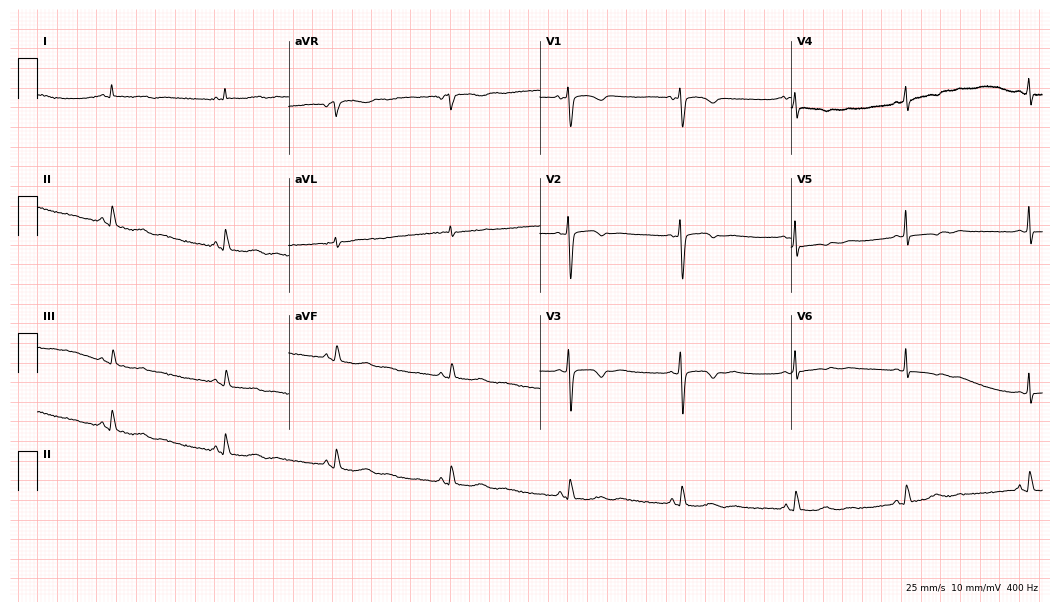
Electrocardiogram (10.2-second recording at 400 Hz), a 54-year-old woman. Interpretation includes sinus bradycardia (a sinus rate of 50 beats per minute or less).